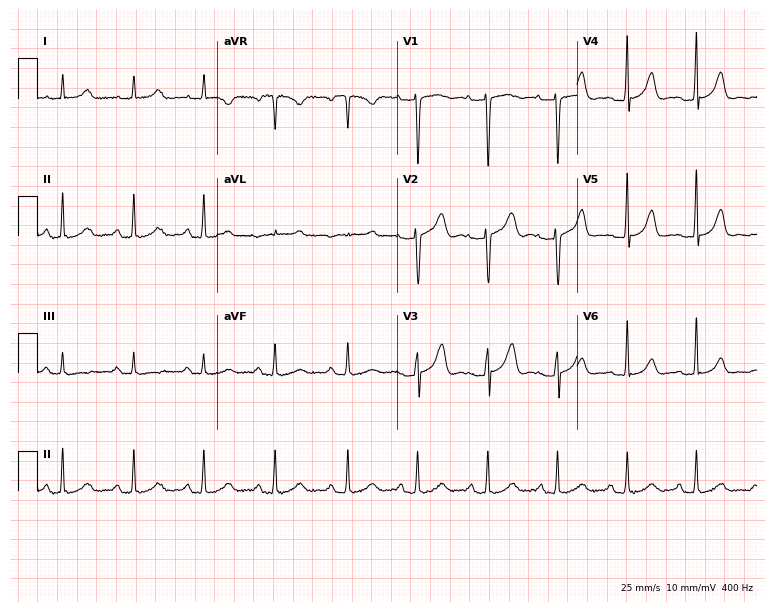
ECG (7.3-second recording at 400 Hz) — a 22-year-old female patient. Screened for six findings — first-degree AV block, right bundle branch block, left bundle branch block, sinus bradycardia, atrial fibrillation, sinus tachycardia — none is recorded.